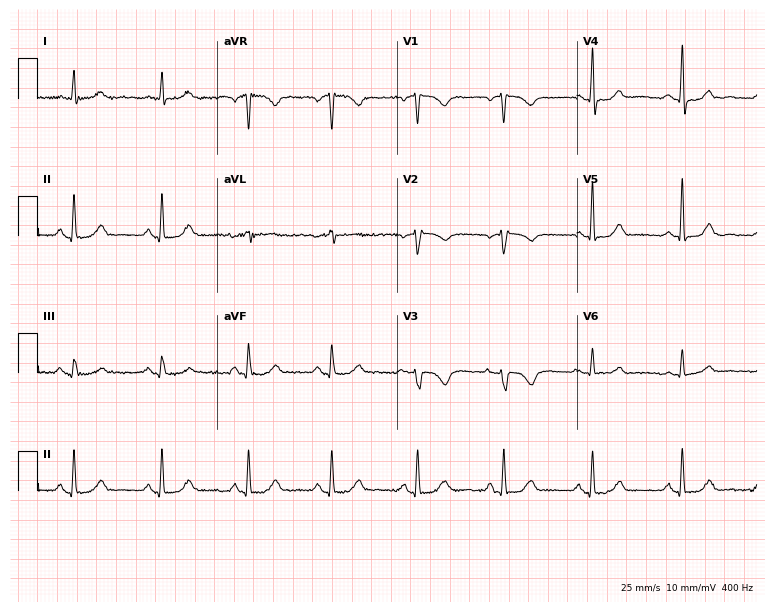
Standard 12-lead ECG recorded from a female, 68 years old. Read as a normal ECG.